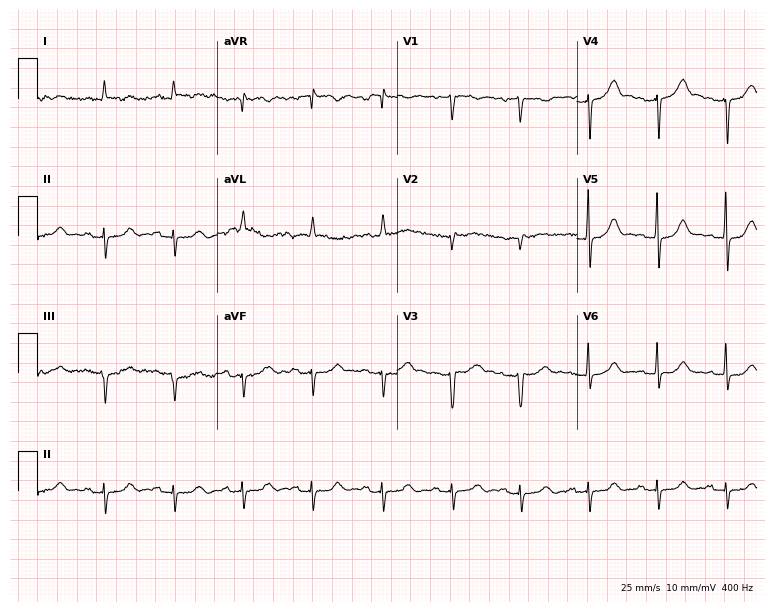
12-lead ECG from a man, 78 years old. Screened for six findings — first-degree AV block, right bundle branch block (RBBB), left bundle branch block (LBBB), sinus bradycardia, atrial fibrillation (AF), sinus tachycardia — none is recorded. Other findings, if any, are not listed.